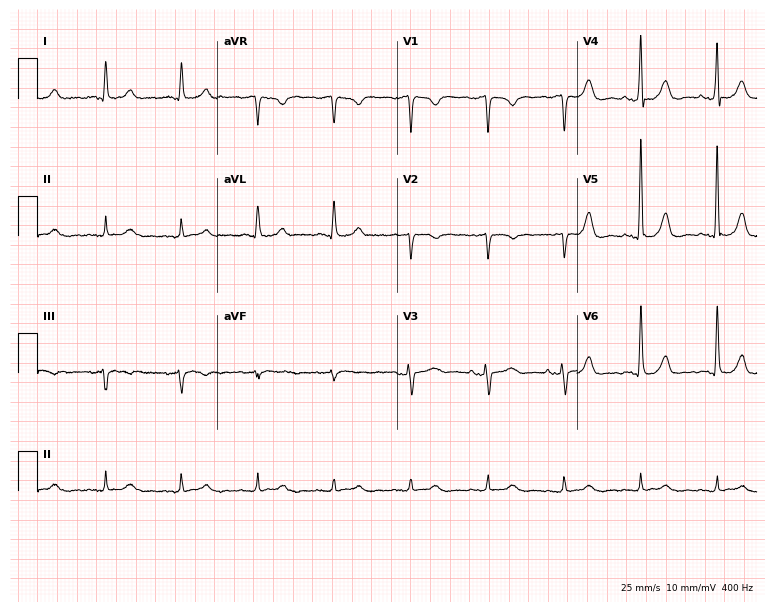
12-lead ECG (7.3-second recording at 400 Hz) from a 64-year-old female. Screened for six findings — first-degree AV block, right bundle branch block, left bundle branch block, sinus bradycardia, atrial fibrillation, sinus tachycardia — none is recorded. Findings outside these six are not listed.